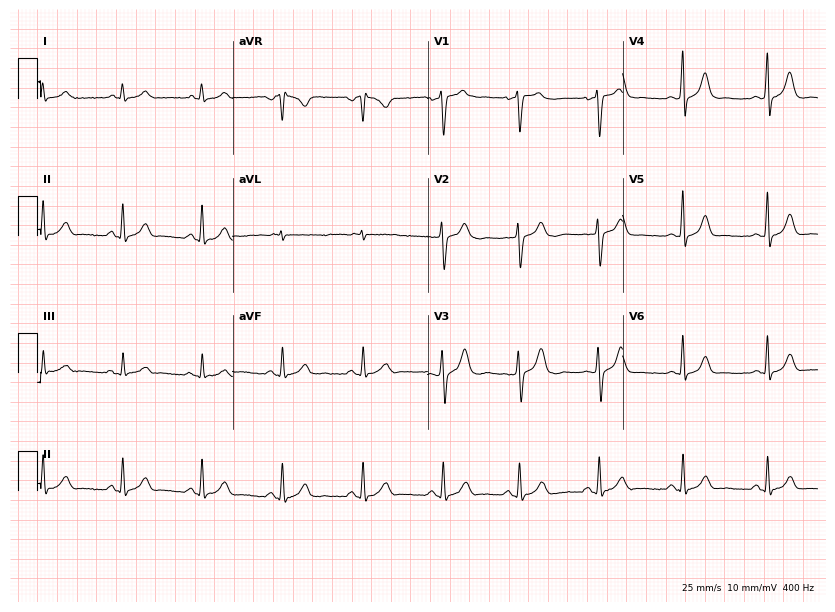
12-lead ECG from a woman, 18 years old. No first-degree AV block, right bundle branch block, left bundle branch block, sinus bradycardia, atrial fibrillation or sinus tachycardia recorded for this tracing. Findings outside these six are not listed.